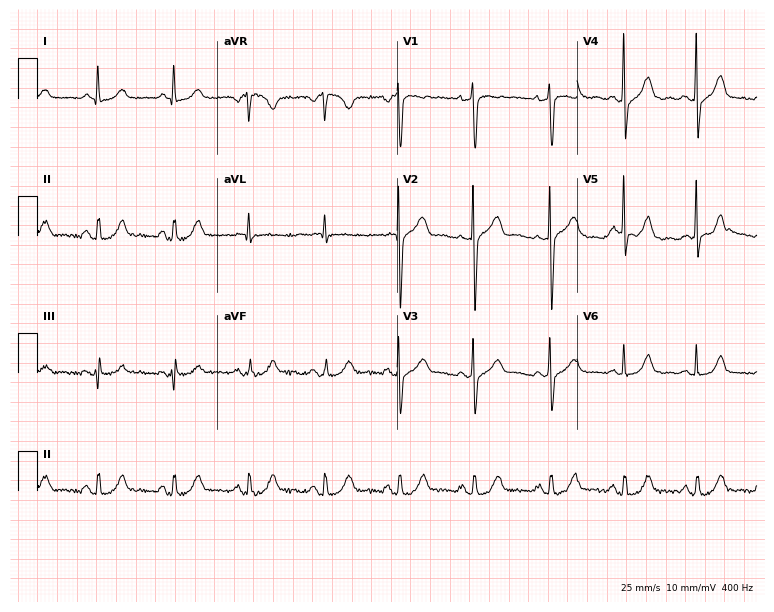
Electrocardiogram (7.3-second recording at 400 Hz), a 60-year-old female patient. Overall reading on record: normal ECG.